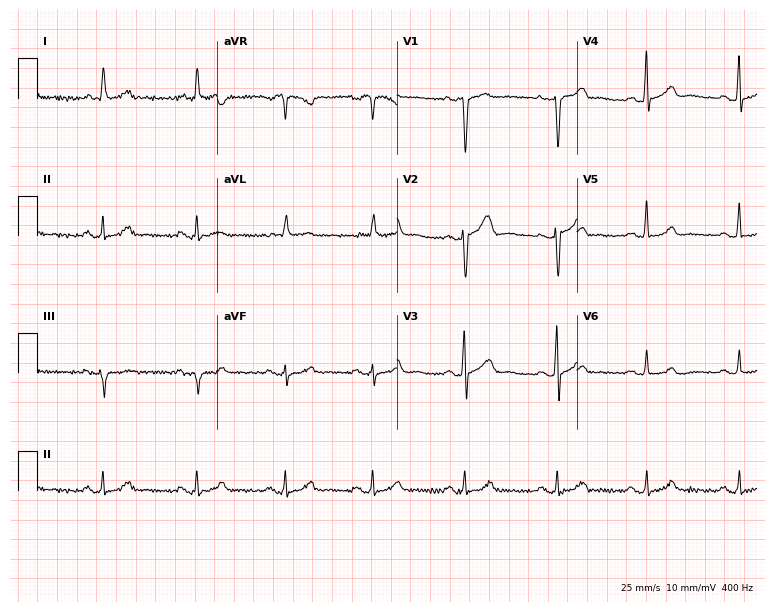
Resting 12-lead electrocardiogram. Patient: a male, 62 years old. Read as a normal ECG.